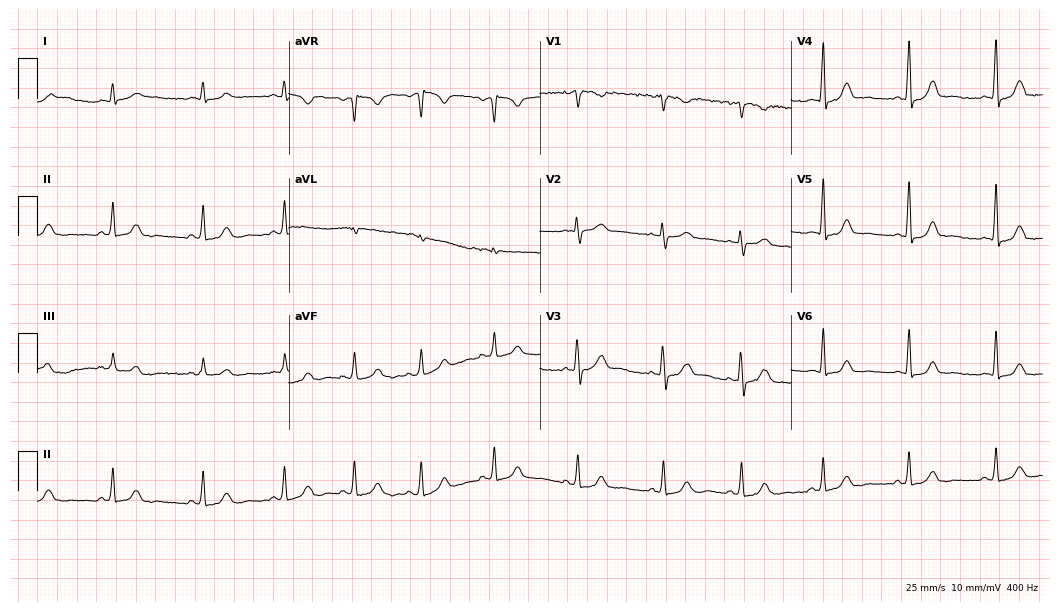
12-lead ECG from a female patient, 31 years old. Recorded interpretation: within normal limits.